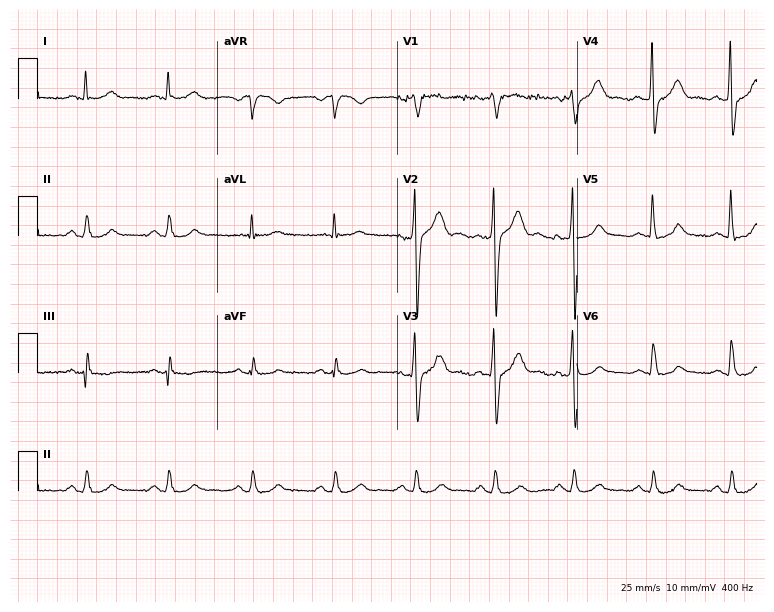
Standard 12-lead ECG recorded from a male, 49 years old. None of these six findings is recorded: first-degree AV block, right bundle branch block, left bundle branch block, sinus bradycardia, atrial fibrillation, sinus tachycardia.